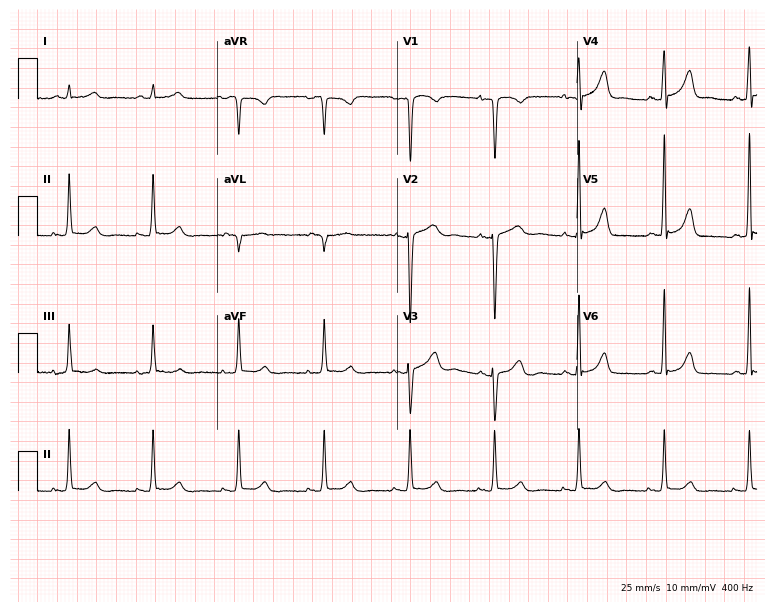
Resting 12-lead electrocardiogram. Patient: a woman, 52 years old. None of these six findings is recorded: first-degree AV block, right bundle branch block, left bundle branch block, sinus bradycardia, atrial fibrillation, sinus tachycardia. Other findings, if any, are not listed.